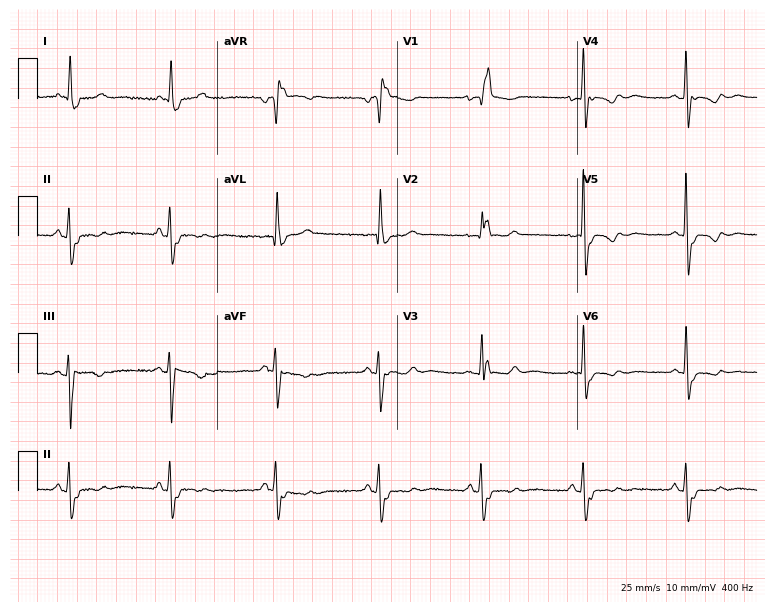
12-lead ECG (7.3-second recording at 400 Hz) from a female patient, 86 years old. Findings include right bundle branch block.